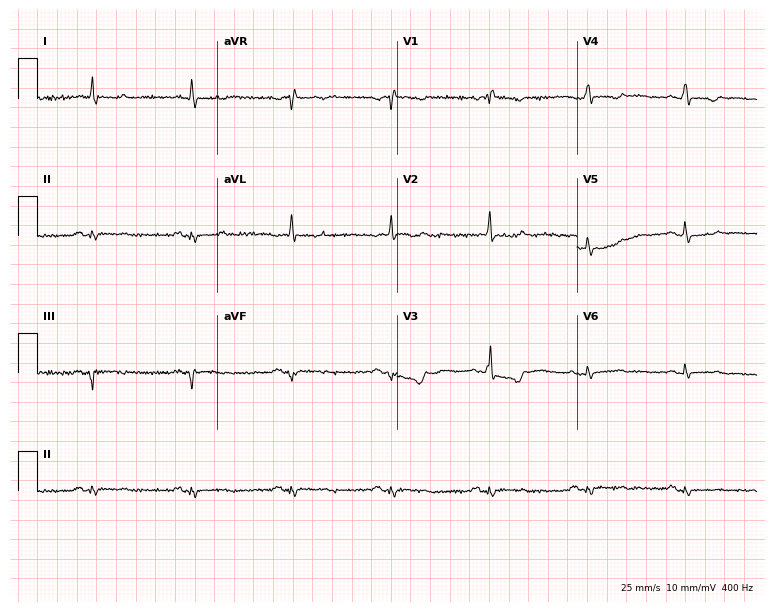
Resting 12-lead electrocardiogram (7.3-second recording at 400 Hz). Patient: a female, 51 years old. None of these six findings is recorded: first-degree AV block, right bundle branch block, left bundle branch block, sinus bradycardia, atrial fibrillation, sinus tachycardia.